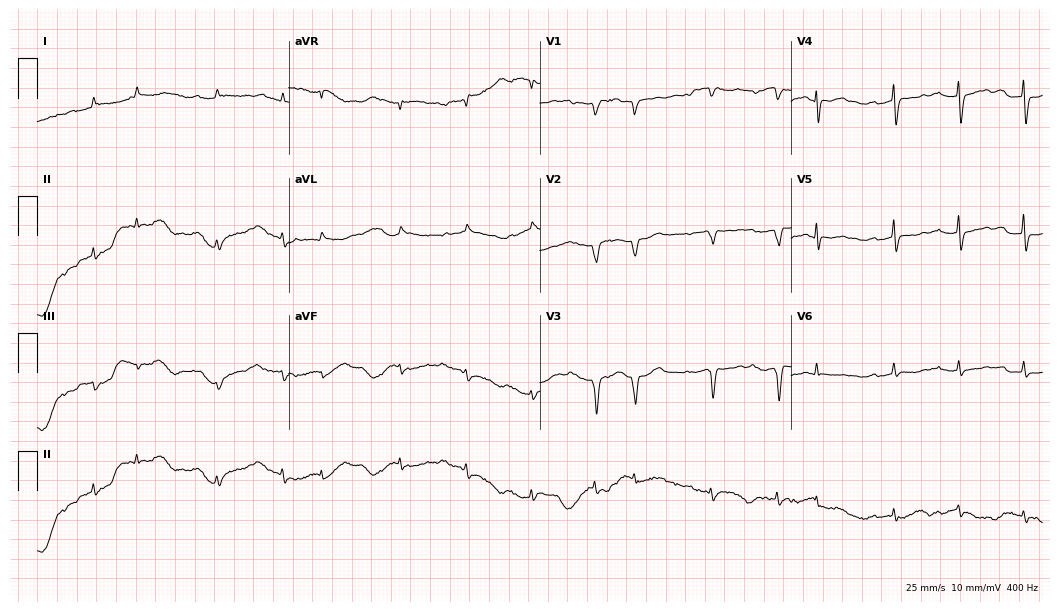
12-lead ECG from a woman, 90 years old or older. No first-degree AV block, right bundle branch block, left bundle branch block, sinus bradycardia, atrial fibrillation or sinus tachycardia recorded for this tracing. Findings outside these six are not listed.